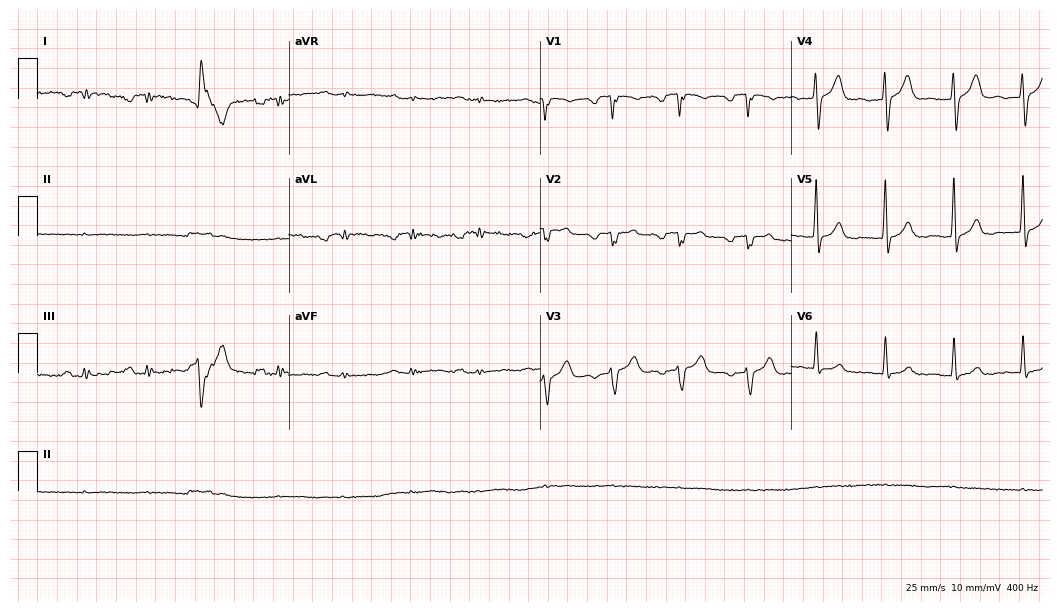
ECG — an 80-year-old man. Screened for six findings — first-degree AV block, right bundle branch block, left bundle branch block, sinus bradycardia, atrial fibrillation, sinus tachycardia — none is recorded.